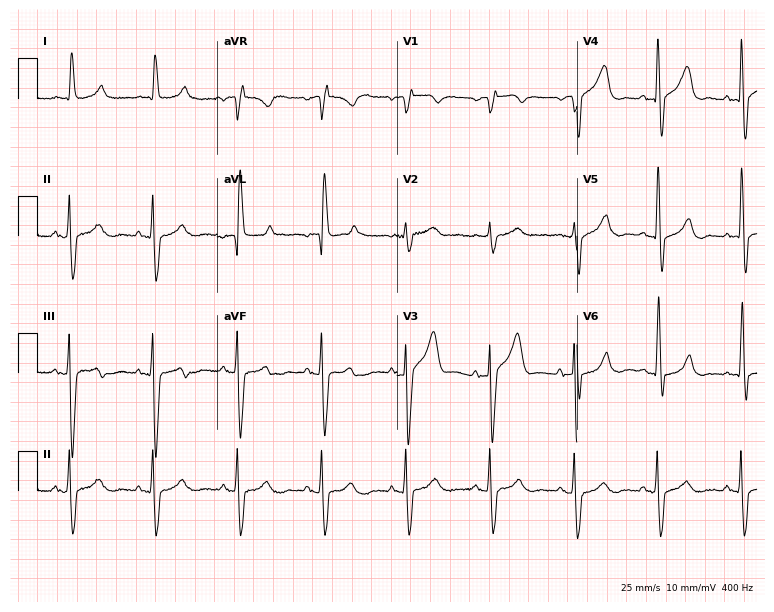
12-lead ECG from a man, 84 years old. No first-degree AV block, right bundle branch block (RBBB), left bundle branch block (LBBB), sinus bradycardia, atrial fibrillation (AF) or sinus tachycardia recorded for this tracing.